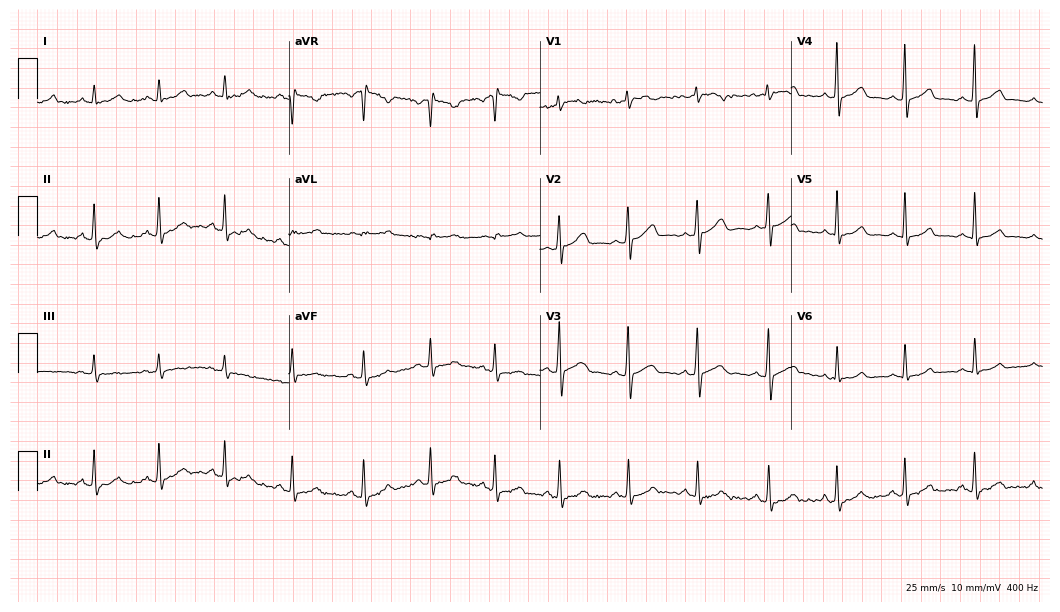
12-lead ECG (10.2-second recording at 400 Hz) from a female, 27 years old. Labelled as a normal ECG.